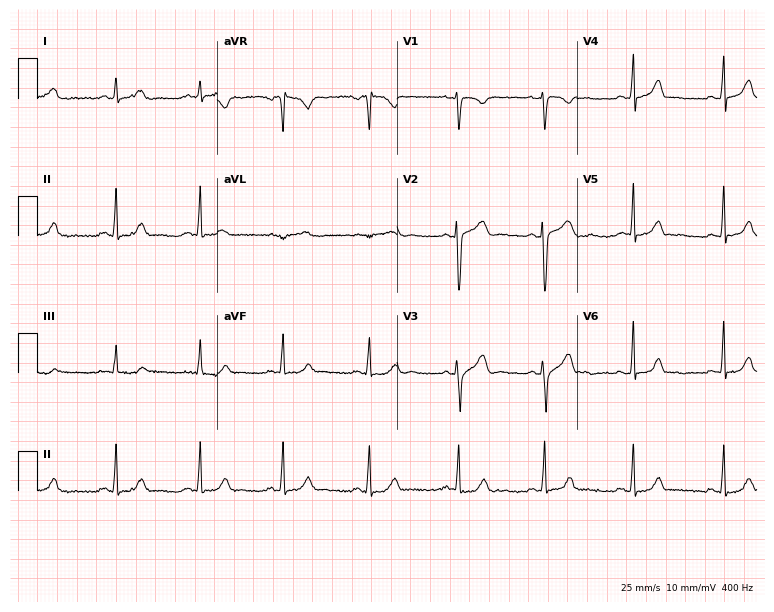
Standard 12-lead ECG recorded from a 35-year-old female patient. Read as a normal ECG.